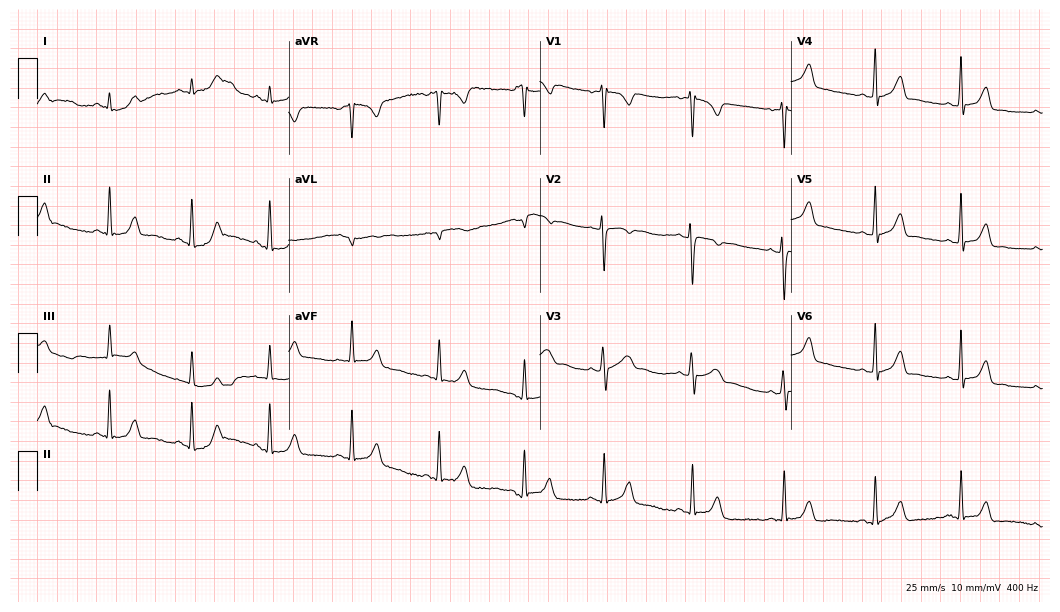
12-lead ECG from a female, 20 years old. Labelled as a normal ECG.